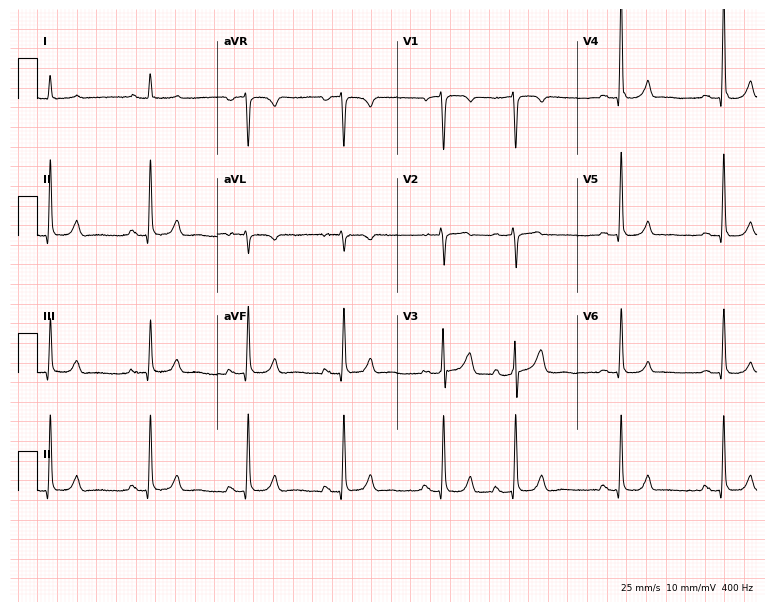
ECG (7.3-second recording at 400 Hz) — a female patient, 45 years old. Screened for six findings — first-degree AV block, right bundle branch block (RBBB), left bundle branch block (LBBB), sinus bradycardia, atrial fibrillation (AF), sinus tachycardia — none is recorded. Only these six findings were labelled.